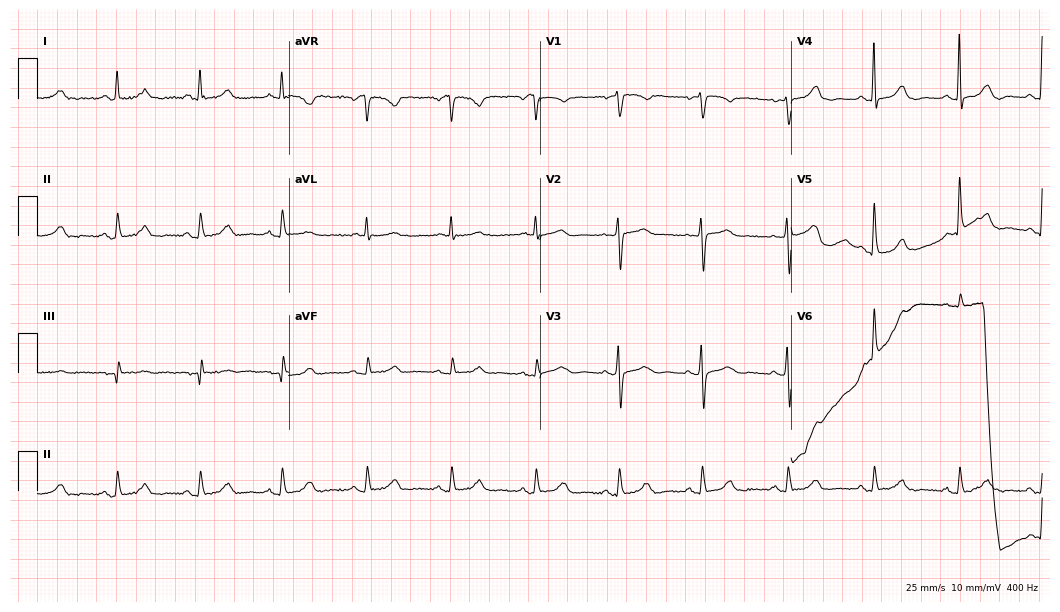
12-lead ECG from a female patient, 83 years old. Recorded interpretation: within normal limits.